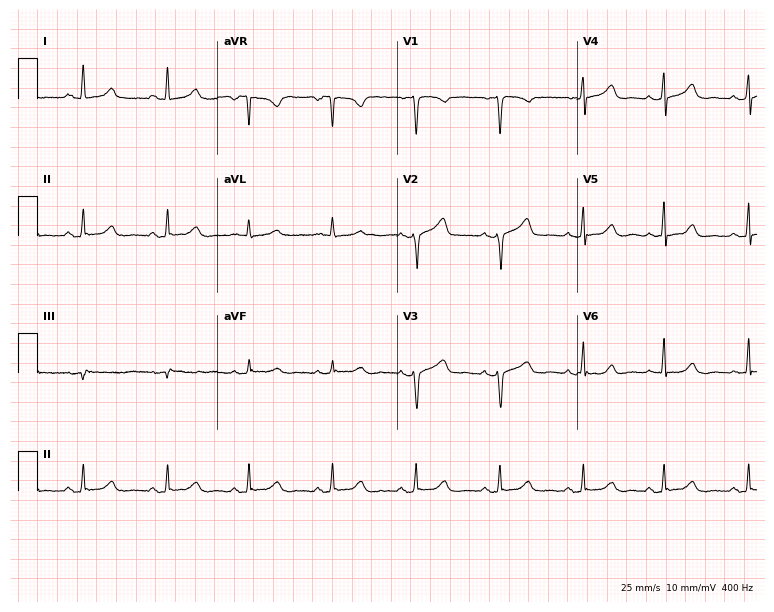
ECG — a woman, 41 years old. Screened for six findings — first-degree AV block, right bundle branch block, left bundle branch block, sinus bradycardia, atrial fibrillation, sinus tachycardia — none is recorded.